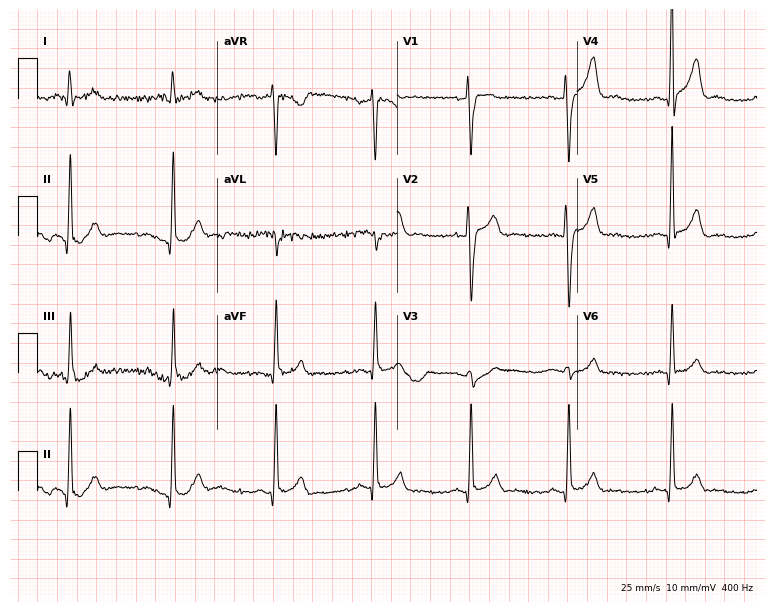
12-lead ECG (7.3-second recording at 400 Hz) from a 36-year-old male. Labelled as a normal ECG.